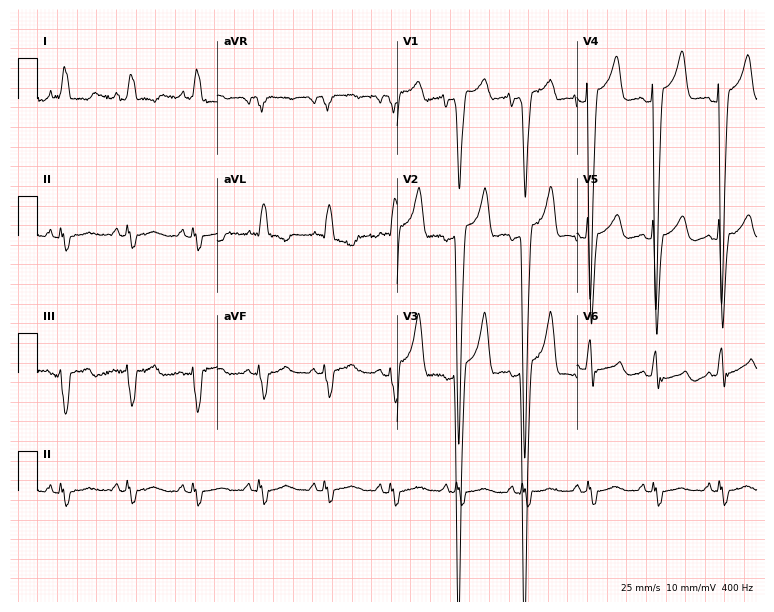
Electrocardiogram (7.3-second recording at 400 Hz), an 80-year-old female patient. Of the six screened findings (first-degree AV block, right bundle branch block (RBBB), left bundle branch block (LBBB), sinus bradycardia, atrial fibrillation (AF), sinus tachycardia), none is recorded.